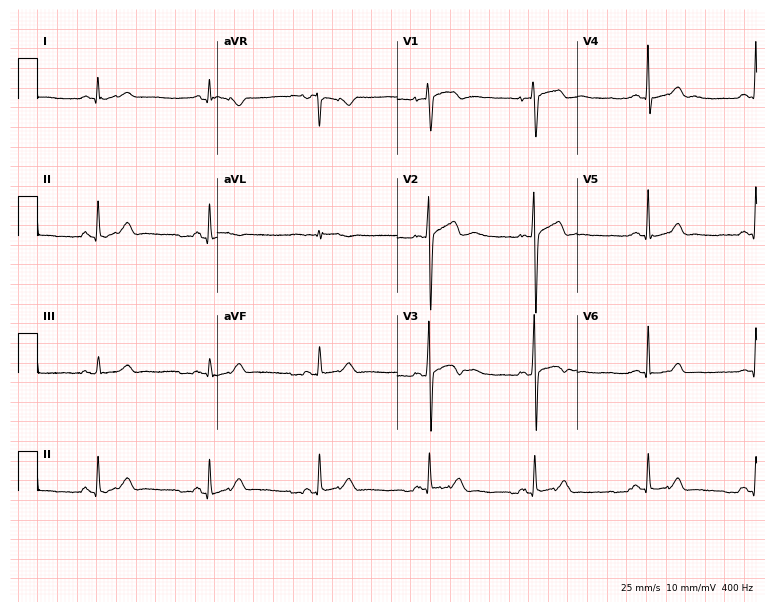
12-lead ECG from a 36-year-old male patient (7.3-second recording at 400 Hz). Recorded interpretation: within normal limits.